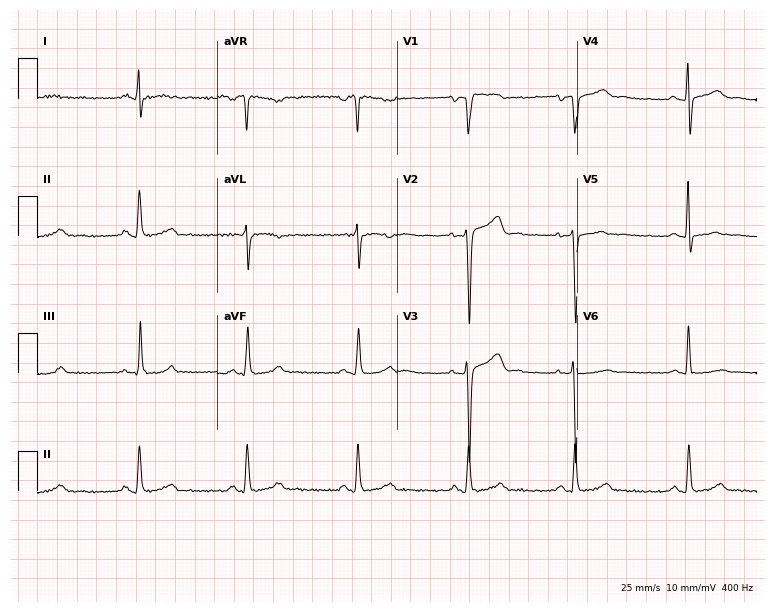
12-lead ECG from a male patient, 47 years old. Screened for six findings — first-degree AV block, right bundle branch block (RBBB), left bundle branch block (LBBB), sinus bradycardia, atrial fibrillation (AF), sinus tachycardia — none is recorded.